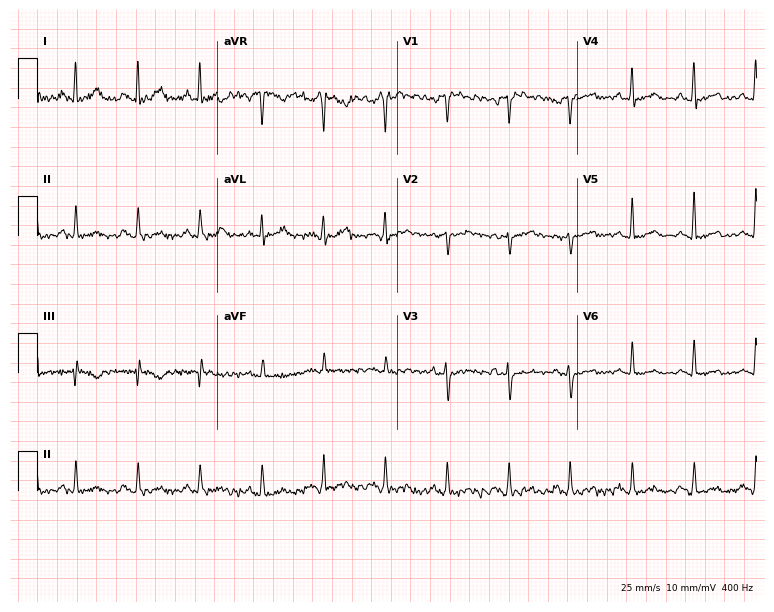
Electrocardiogram (7.3-second recording at 400 Hz), a 41-year-old female patient. Of the six screened findings (first-degree AV block, right bundle branch block, left bundle branch block, sinus bradycardia, atrial fibrillation, sinus tachycardia), none is recorded.